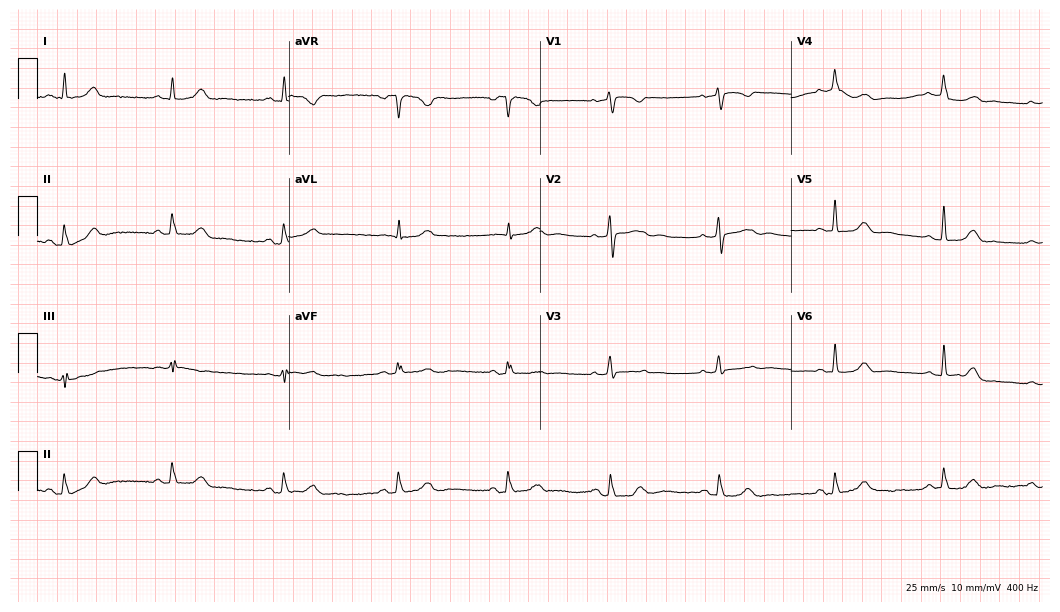
12-lead ECG from a 46-year-old female patient. Recorded interpretation: within normal limits.